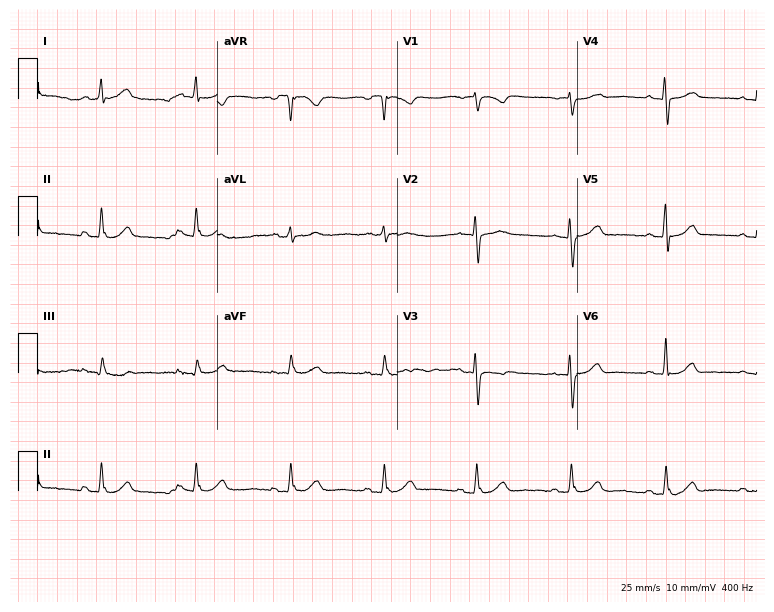
12-lead ECG from a woman, 83 years old. No first-degree AV block, right bundle branch block (RBBB), left bundle branch block (LBBB), sinus bradycardia, atrial fibrillation (AF) or sinus tachycardia recorded for this tracing. Other findings, if any, are not listed.